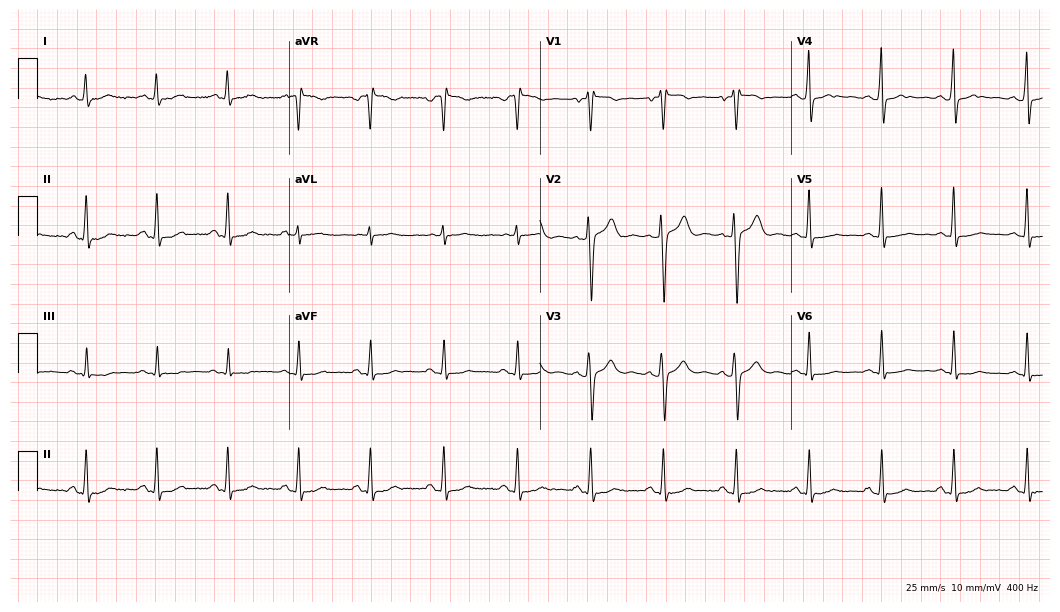
Resting 12-lead electrocardiogram. Patient: a 31-year-old man. Read as a normal ECG.